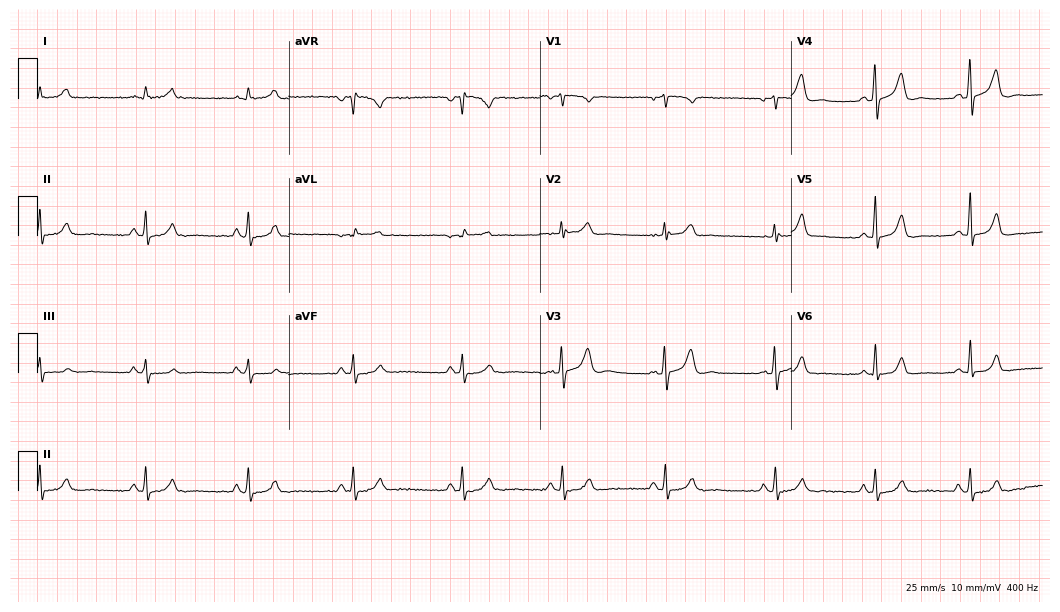
Electrocardiogram, a 30-year-old woman. Of the six screened findings (first-degree AV block, right bundle branch block, left bundle branch block, sinus bradycardia, atrial fibrillation, sinus tachycardia), none is recorded.